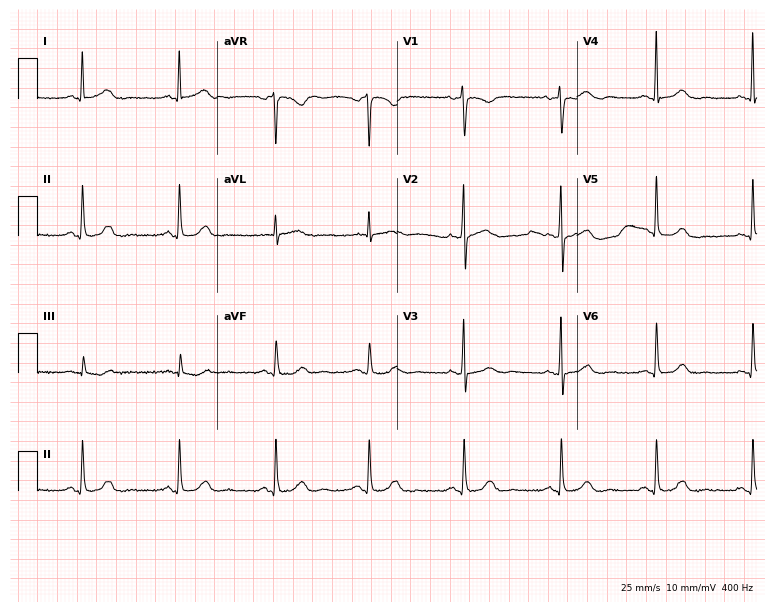
Standard 12-lead ECG recorded from a female patient, 53 years old. Read as a normal ECG.